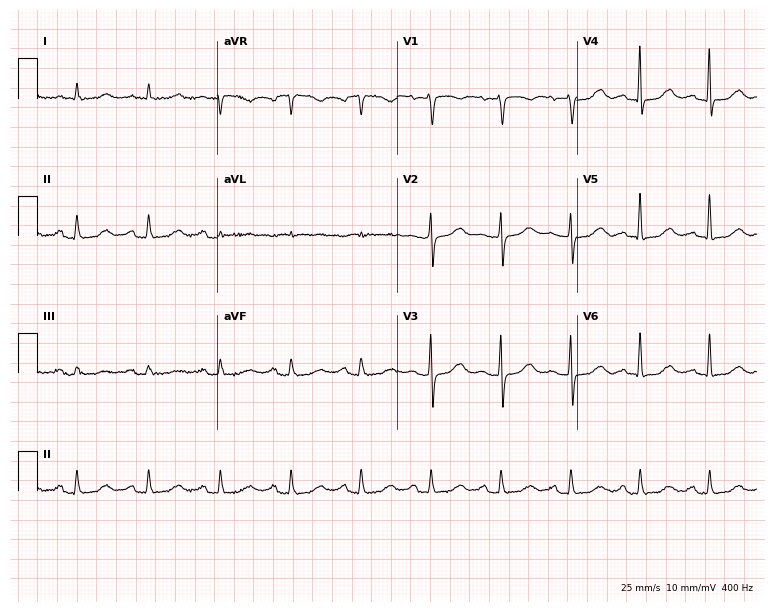
12-lead ECG from a woman, 73 years old. Screened for six findings — first-degree AV block, right bundle branch block, left bundle branch block, sinus bradycardia, atrial fibrillation, sinus tachycardia — none is recorded. Findings outside these six are not listed.